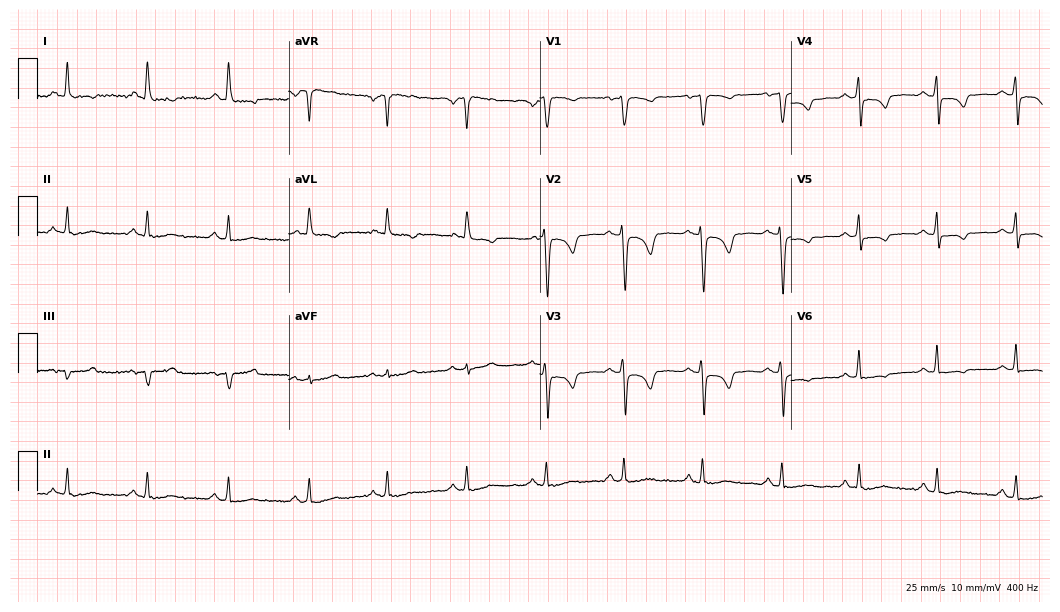
Resting 12-lead electrocardiogram (10.2-second recording at 400 Hz). Patient: a 54-year-old woman. None of these six findings is recorded: first-degree AV block, right bundle branch block, left bundle branch block, sinus bradycardia, atrial fibrillation, sinus tachycardia.